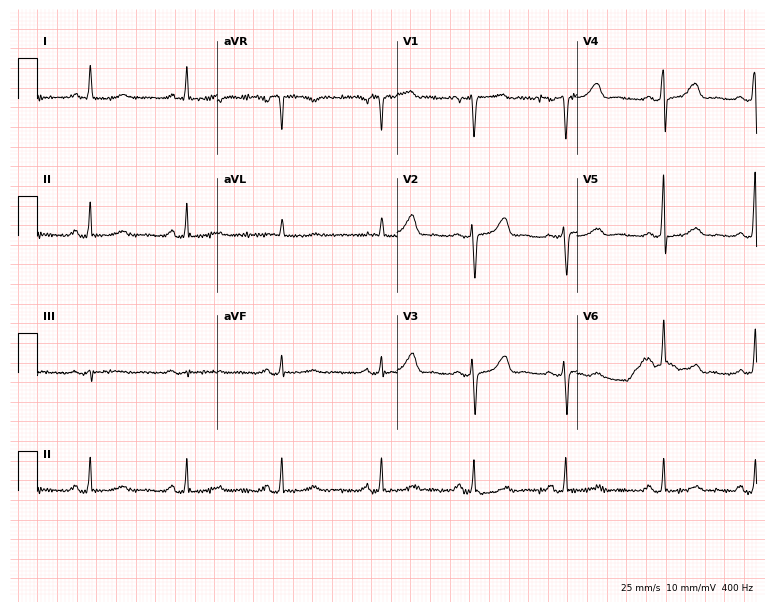
Standard 12-lead ECG recorded from a woman, 50 years old. Read as a normal ECG.